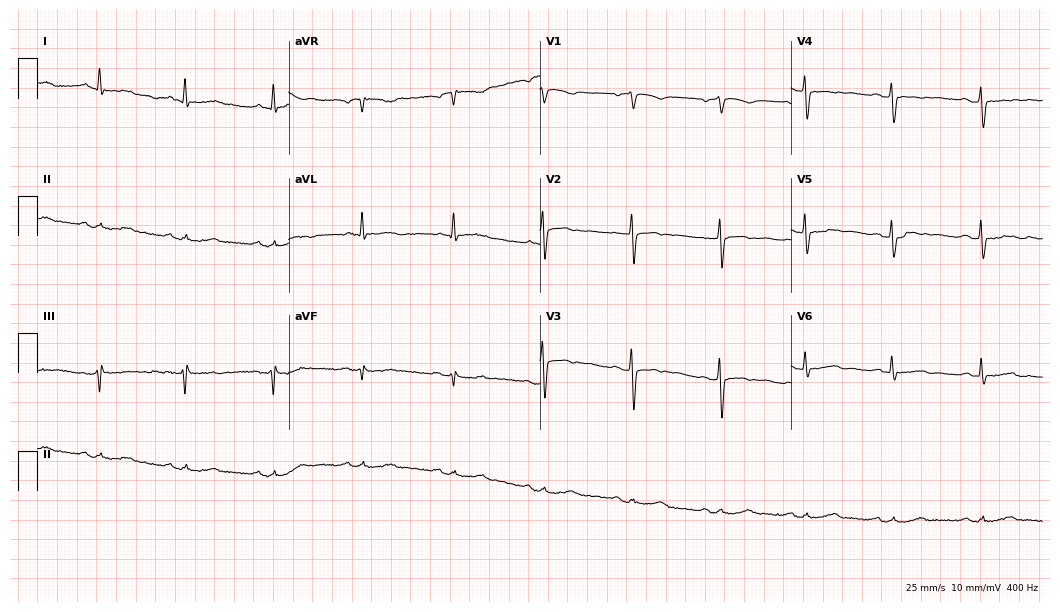
Resting 12-lead electrocardiogram (10.2-second recording at 400 Hz). Patient: a 67-year-old man. None of these six findings is recorded: first-degree AV block, right bundle branch block (RBBB), left bundle branch block (LBBB), sinus bradycardia, atrial fibrillation (AF), sinus tachycardia. Only these six findings were labelled.